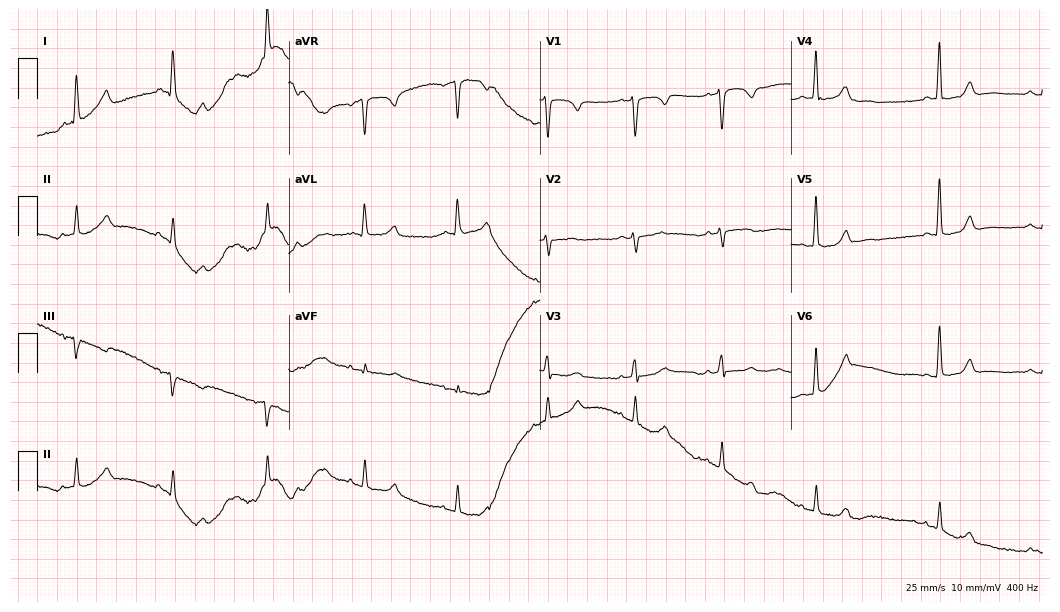
12-lead ECG from a female, 72 years old (10.2-second recording at 400 Hz). Recorded interpretation: within normal limits.